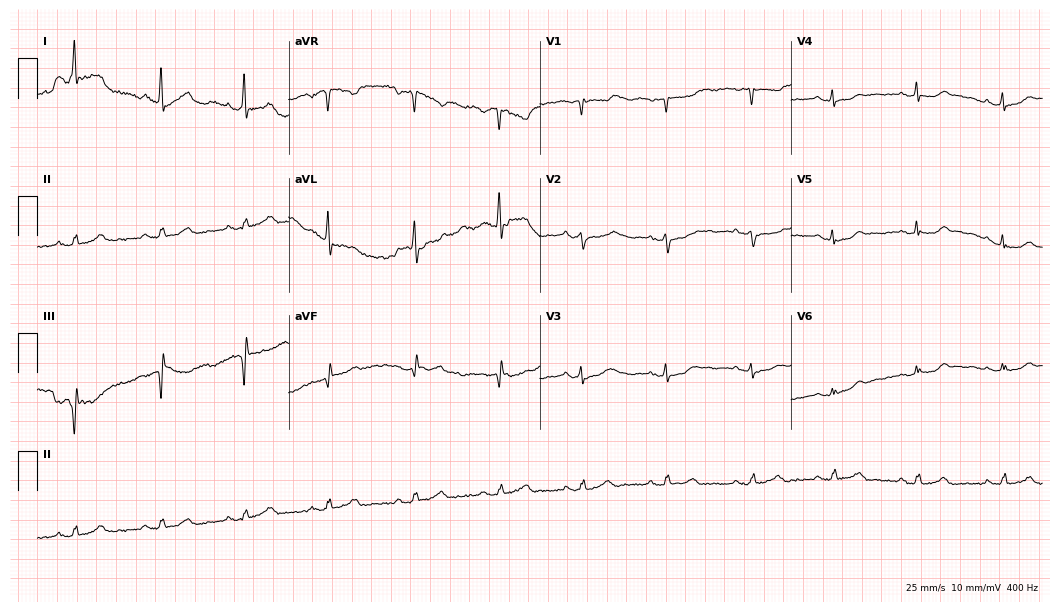
12-lead ECG from a 38-year-old woman. No first-degree AV block, right bundle branch block, left bundle branch block, sinus bradycardia, atrial fibrillation or sinus tachycardia recorded for this tracing.